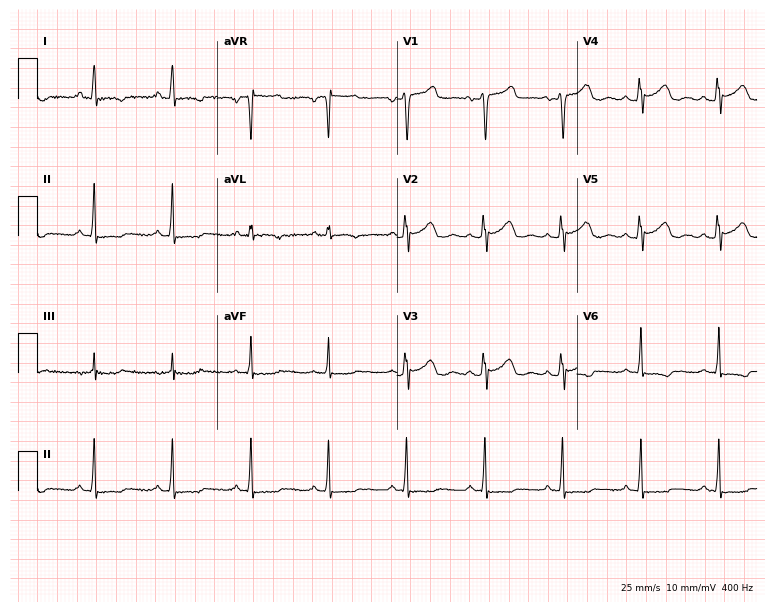
12-lead ECG from a 42-year-old woman (7.3-second recording at 400 Hz). No first-degree AV block, right bundle branch block (RBBB), left bundle branch block (LBBB), sinus bradycardia, atrial fibrillation (AF) or sinus tachycardia recorded for this tracing. Only these six findings were labelled.